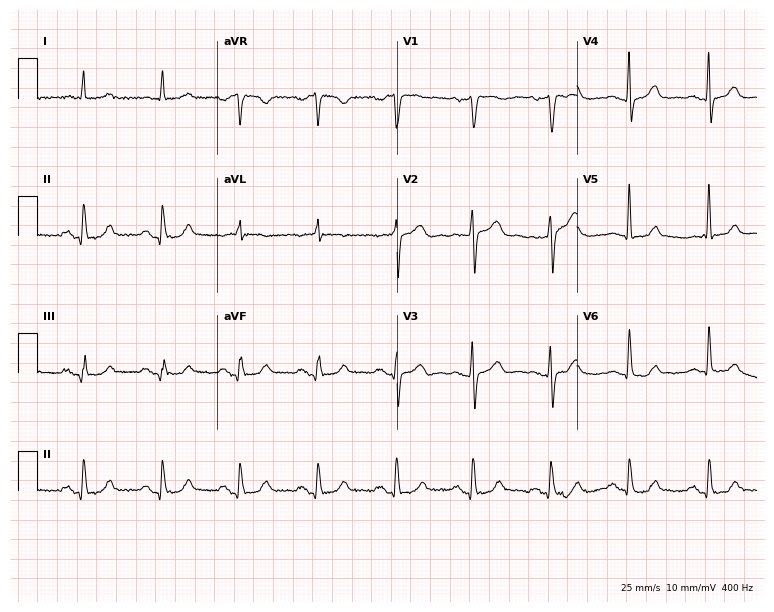
12-lead ECG from a male, 75 years old (7.3-second recording at 400 Hz). No first-degree AV block, right bundle branch block (RBBB), left bundle branch block (LBBB), sinus bradycardia, atrial fibrillation (AF) or sinus tachycardia recorded for this tracing. Findings outside these six are not listed.